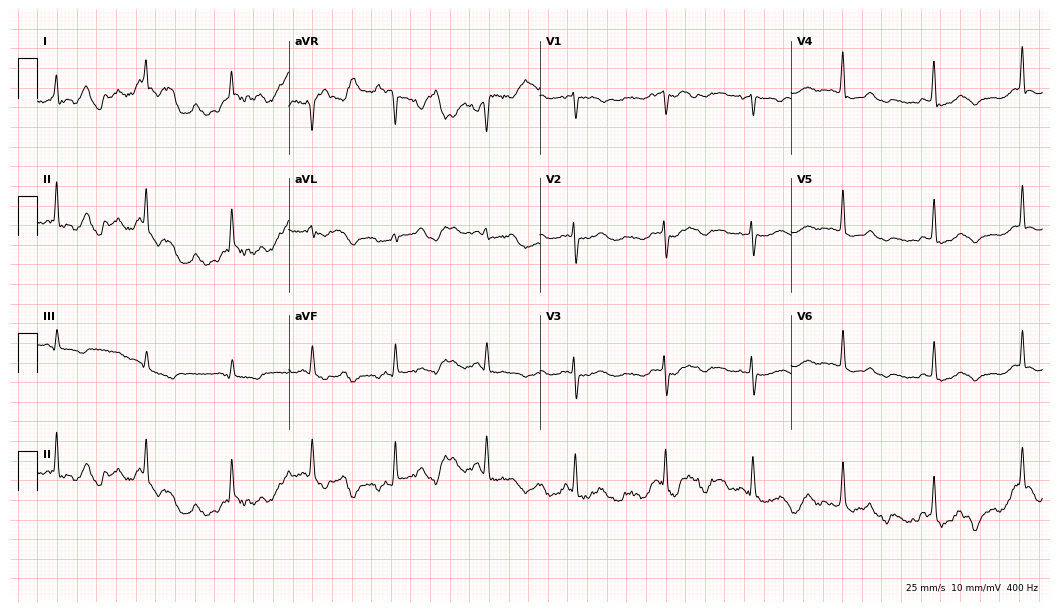
12-lead ECG from a female, 47 years old. Recorded interpretation: within normal limits.